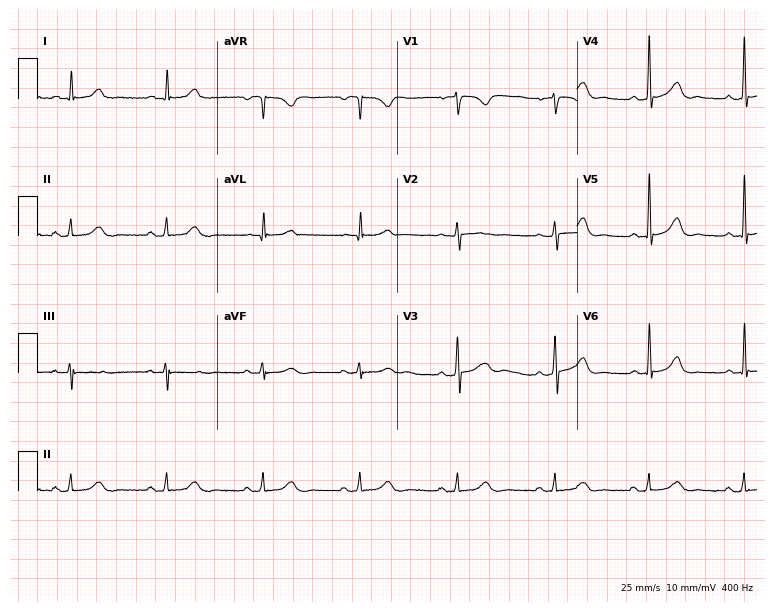
Resting 12-lead electrocardiogram. Patient: a 62-year-old female. None of these six findings is recorded: first-degree AV block, right bundle branch block, left bundle branch block, sinus bradycardia, atrial fibrillation, sinus tachycardia.